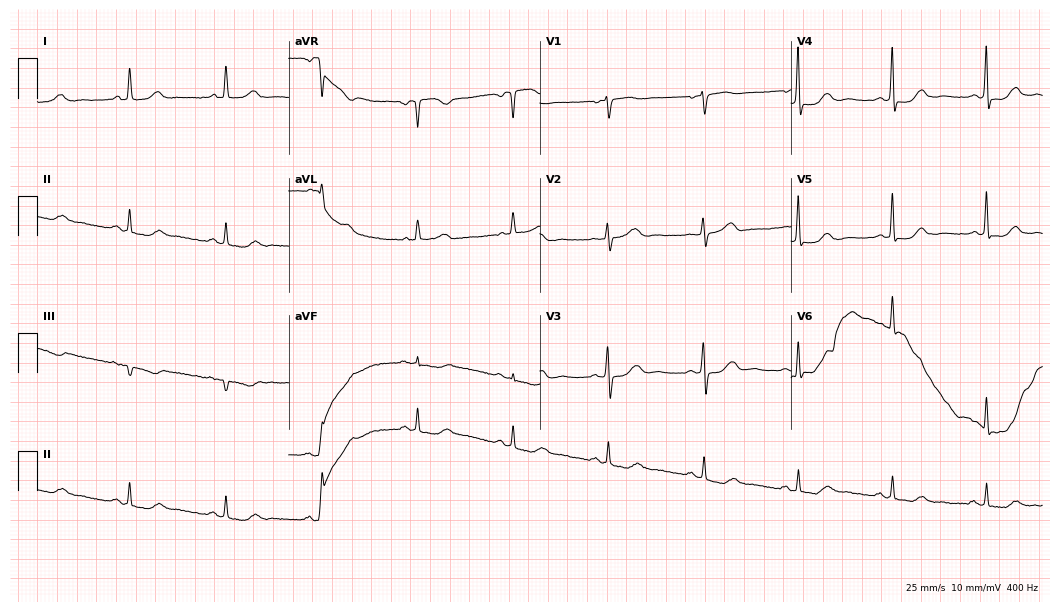
12-lead ECG from a 71-year-old female patient (10.2-second recording at 400 Hz). Recorded interpretation: within normal limits.